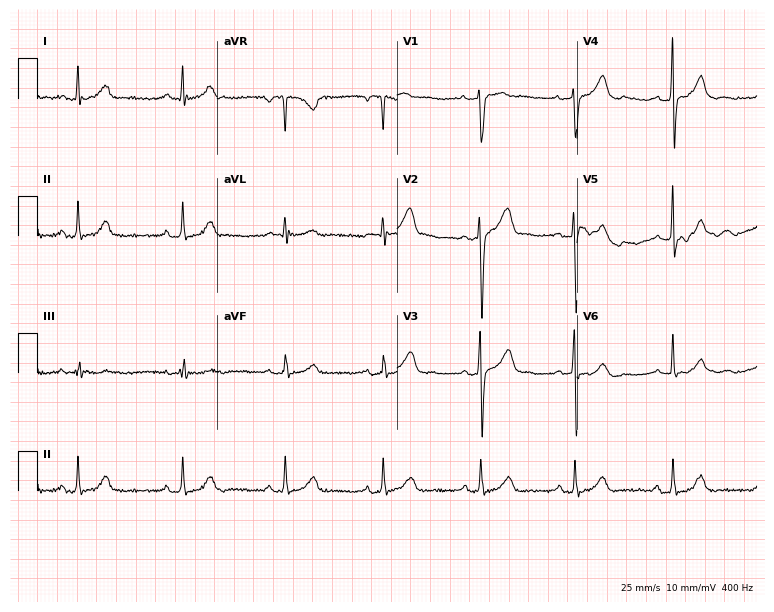
Resting 12-lead electrocardiogram. Patient: a 28-year-old woman. None of these six findings is recorded: first-degree AV block, right bundle branch block (RBBB), left bundle branch block (LBBB), sinus bradycardia, atrial fibrillation (AF), sinus tachycardia.